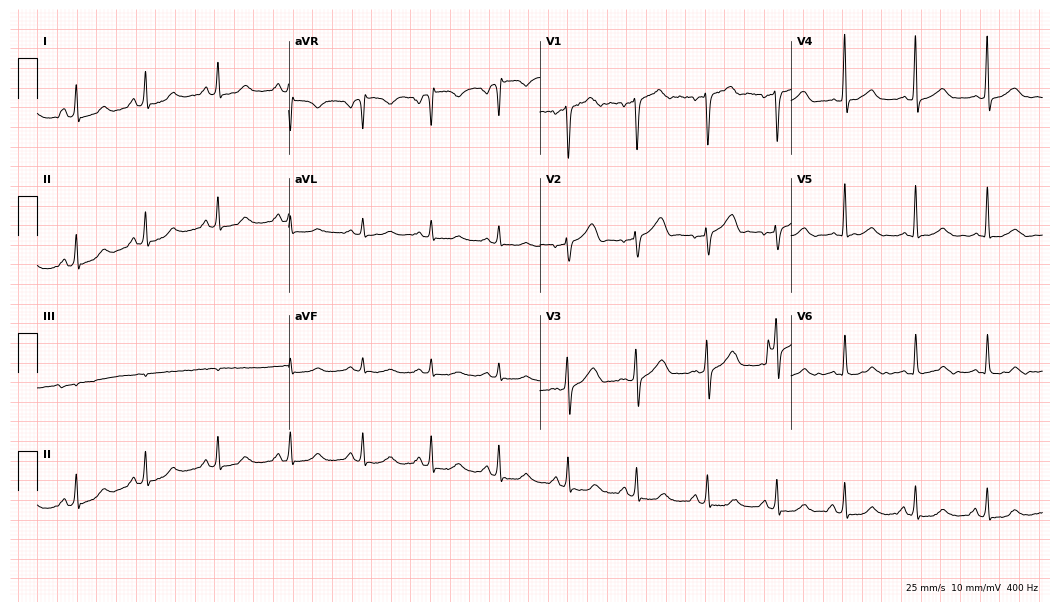
Resting 12-lead electrocardiogram (10.2-second recording at 400 Hz). Patient: a female, 40 years old. Read as a normal ECG.